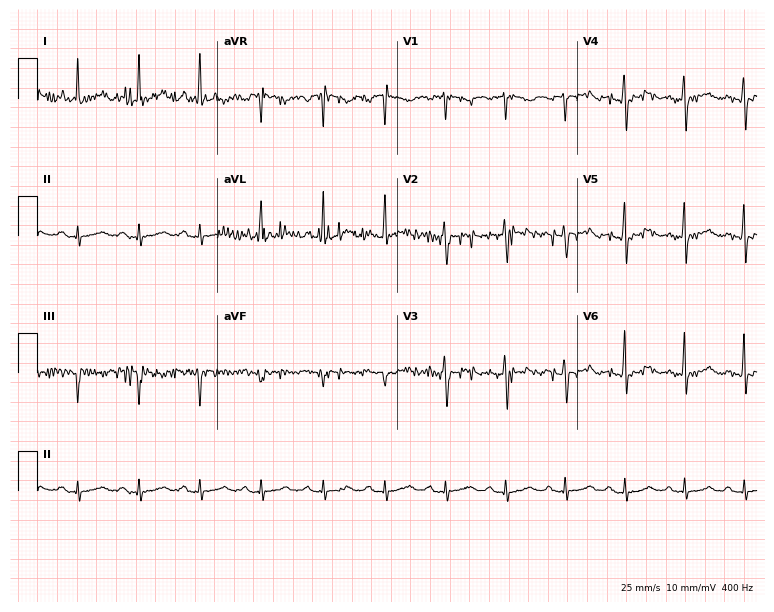
Resting 12-lead electrocardiogram (7.3-second recording at 400 Hz). Patient: a 44-year-old female. None of these six findings is recorded: first-degree AV block, right bundle branch block, left bundle branch block, sinus bradycardia, atrial fibrillation, sinus tachycardia.